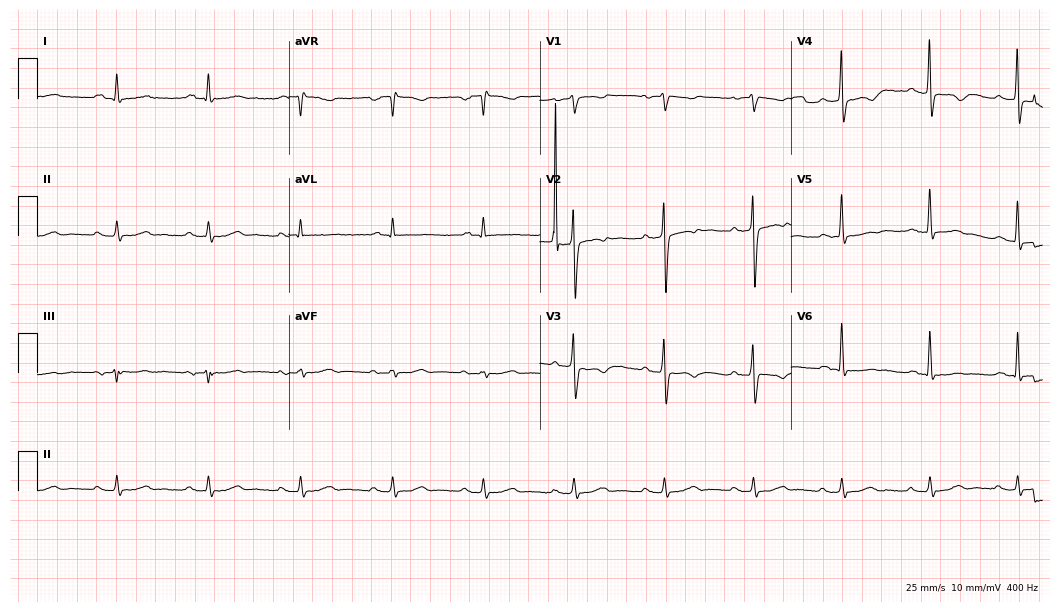
ECG — a 77-year-old male. Screened for six findings — first-degree AV block, right bundle branch block, left bundle branch block, sinus bradycardia, atrial fibrillation, sinus tachycardia — none is recorded.